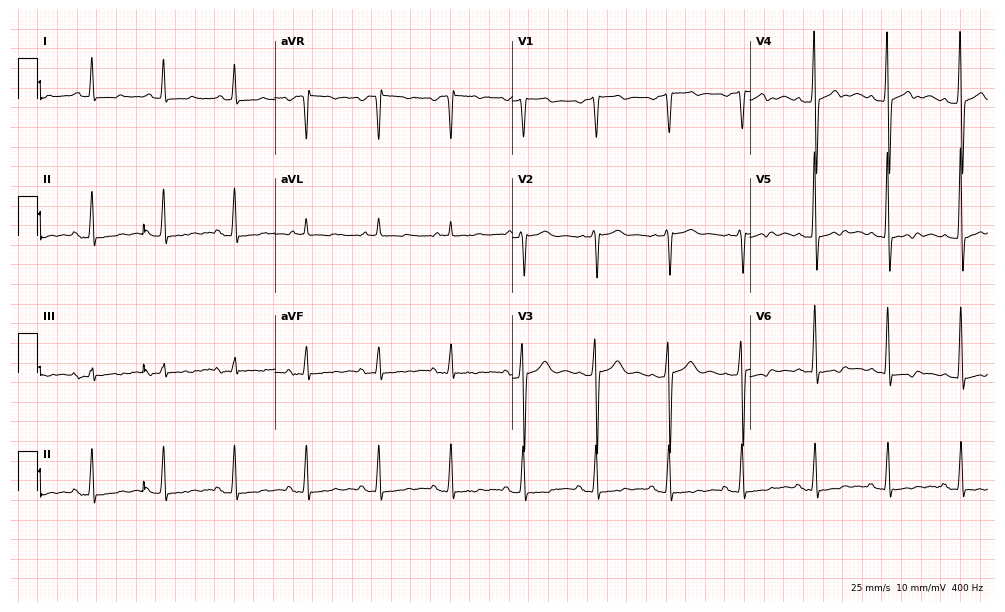
Electrocardiogram (9.7-second recording at 400 Hz), a man, 34 years old. Of the six screened findings (first-degree AV block, right bundle branch block, left bundle branch block, sinus bradycardia, atrial fibrillation, sinus tachycardia), none is recorded. Other findings, if any, are not listed.